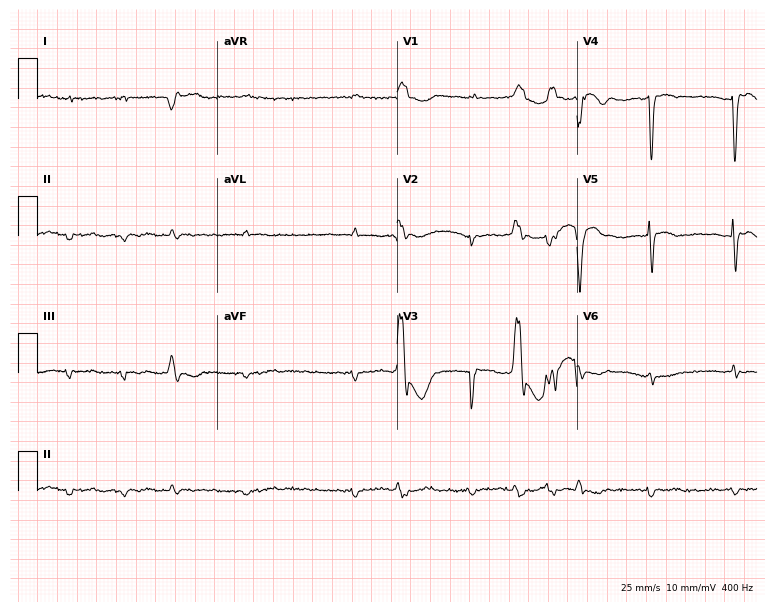
12-lead ECG from a male, 72 years old (7.3-second recording at 400 Hz). No first-degree AV block, right bundle branch block, left bundle branch block, sinus bradycardia, atrial fibrillation or sinus tachycardia recorded for this tracing. Only these six findings were labelled.